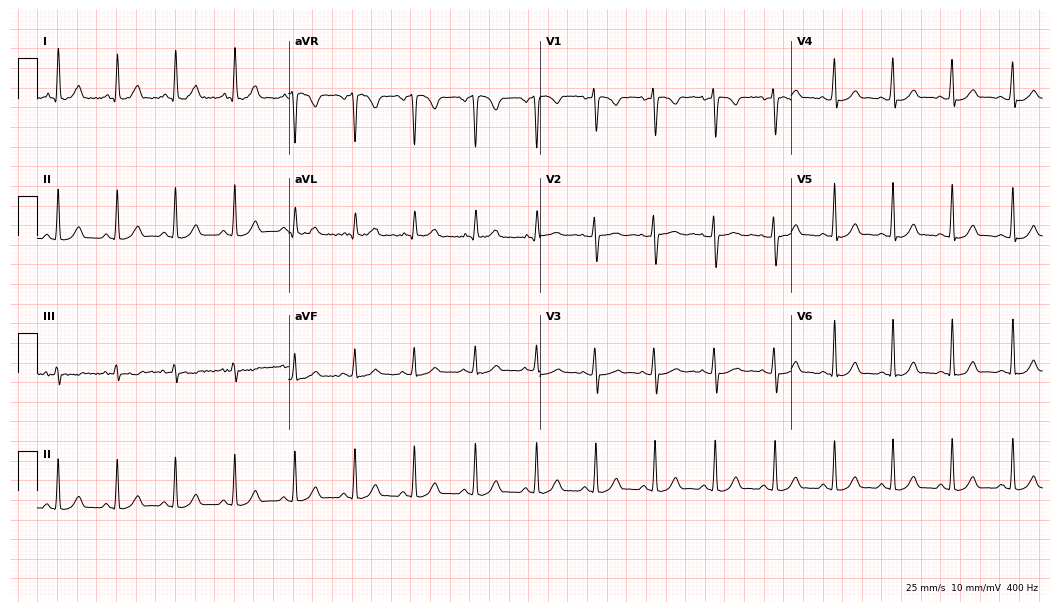
Electrocardiogram (10.2-second recording at 400 Hz), a female, 21 years old. Overall reading on record: normal ECG.